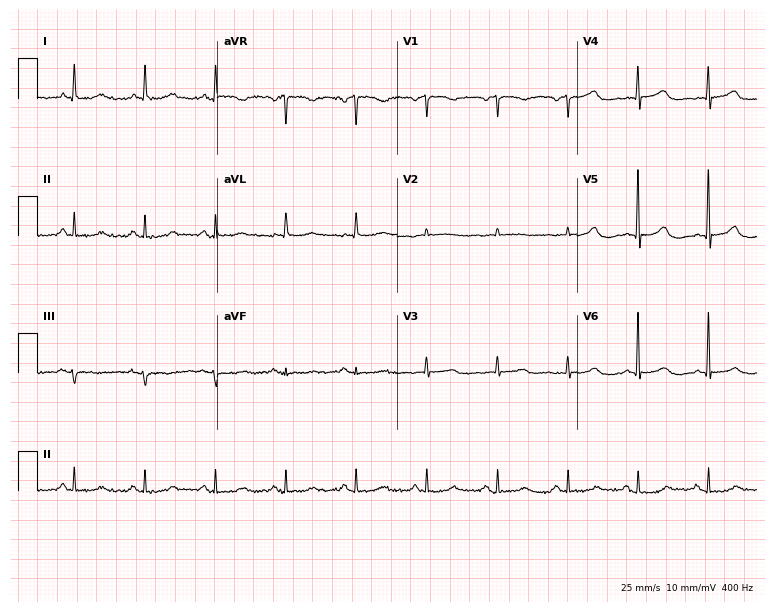
Resting 12-lead electrocardiogram (7.3-second recording at 400 Hz). Patient: a 74-year-old female. None of these six findings is recorded: first-degree AV block, right bundle branch block (RBBB), left bundle branch block (LBBB), sinus bradycardia, atrial fibrillation (AF), sinus tachycardia.